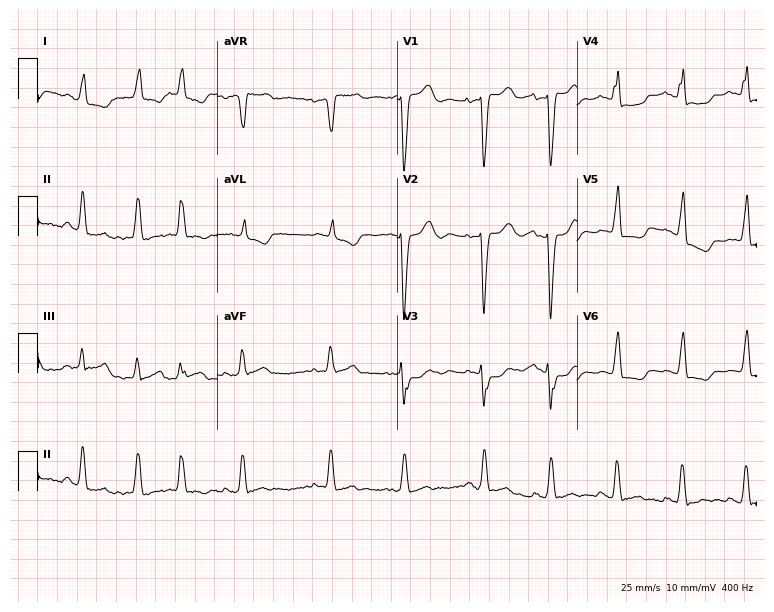
ECG (7.3-second recording at 400 Hz) — an 81-year-old woman. Screened for six findings — first-degree AV block, right bundle branch block (RBBB), left bundle branch block (LBBB), sinus bradycardia, atrial fibrillation (AF), sinus tachycardia — none is recorded. Findings outside these six are not listed.